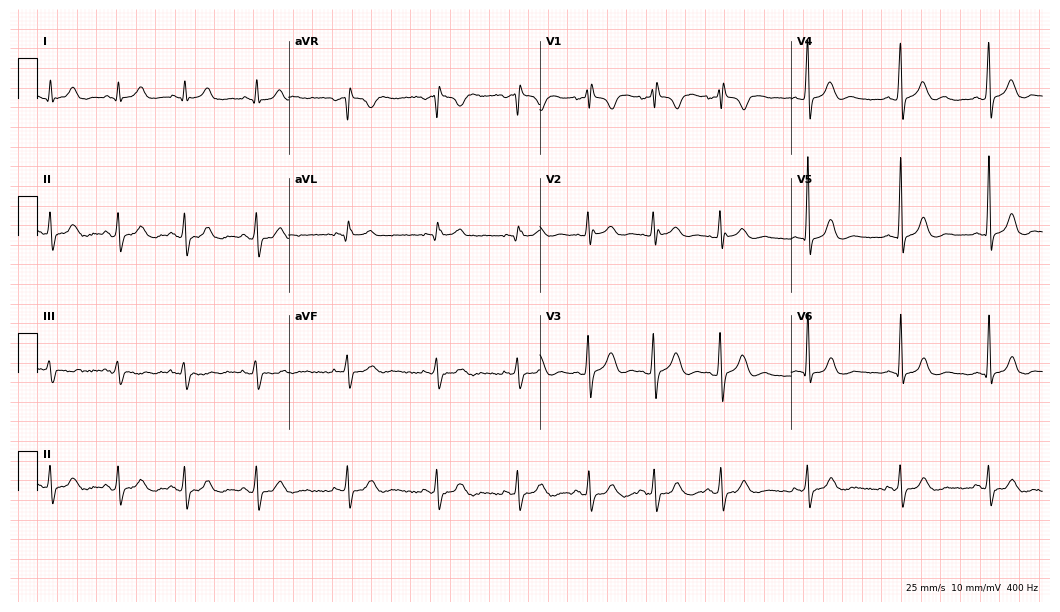
12-lead ECG from a 28-year-old male (10.2-second recording at 400 Hz). Recorded interpretation: within normal limits.